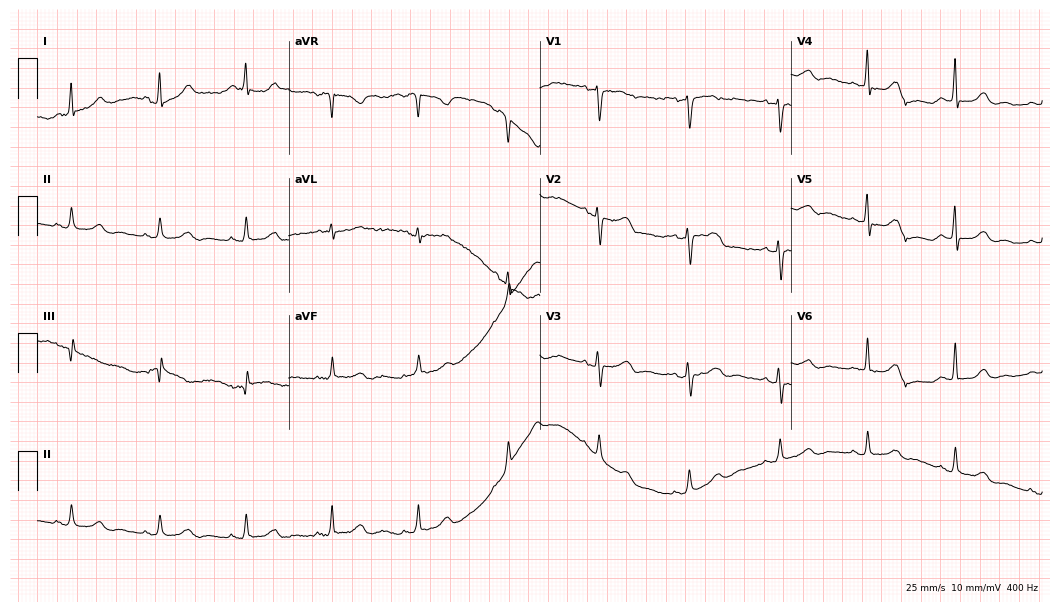
12-lead ECG from a 71-year-old woman. Screened for six findings — first-degree AV block, right bundle branch block, left bundle branch block, sinus bradycardia, atrial fibrillation, sinus tachycardia — none is recorded.